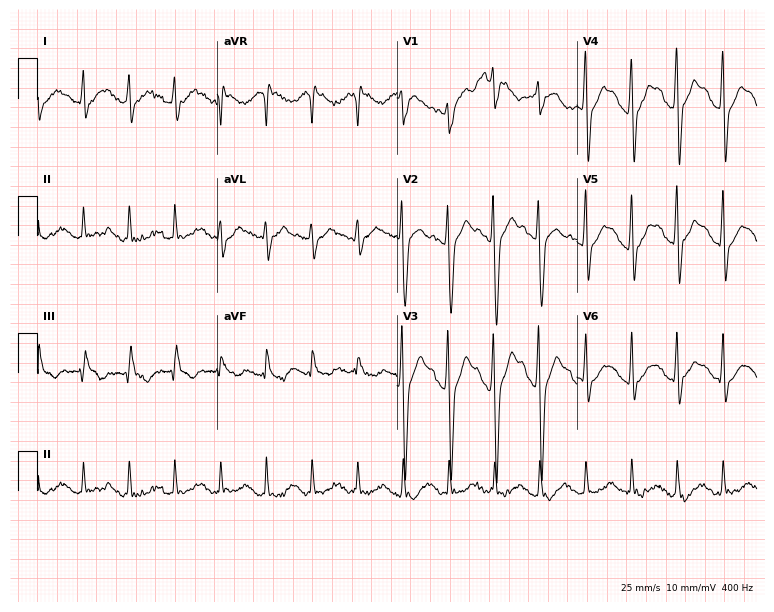
Resting 12-lead electrocardiogram (7.3-second recording at 400 Hz). Patient: a 33-year-old male. The tracing shows sinus tachycardia (a sinus rate of 100 beats per minute or more).